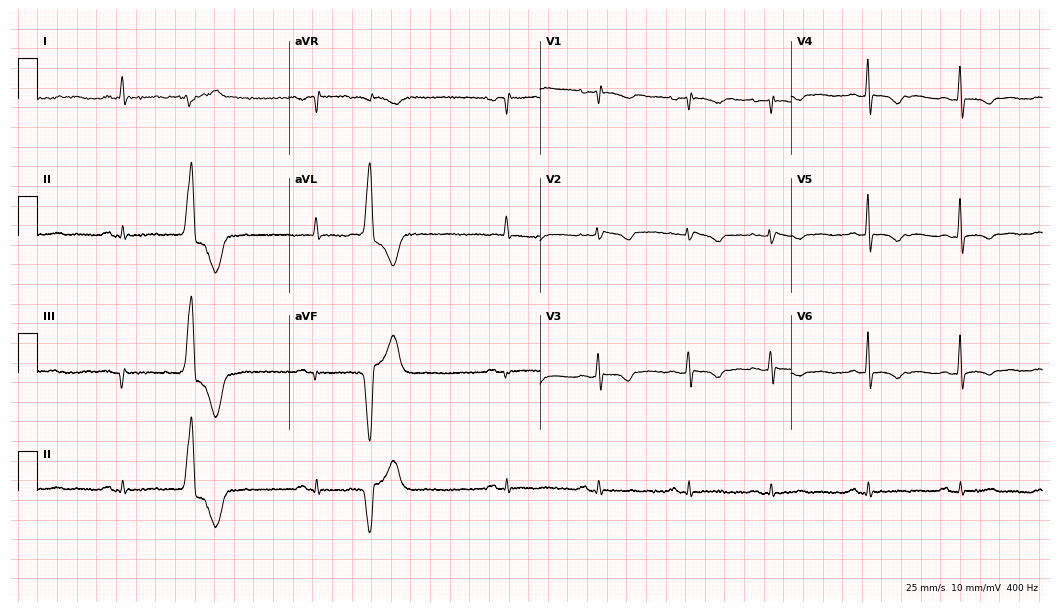
12-lead ECG from a 79-year-old female. No first-degree AV block, right bundle branch block, left bundle branch block, sinus bradycardia, atrial fibrillation or sinus tachycardia recorded for this tracing. Other findings, if any, are not listed.